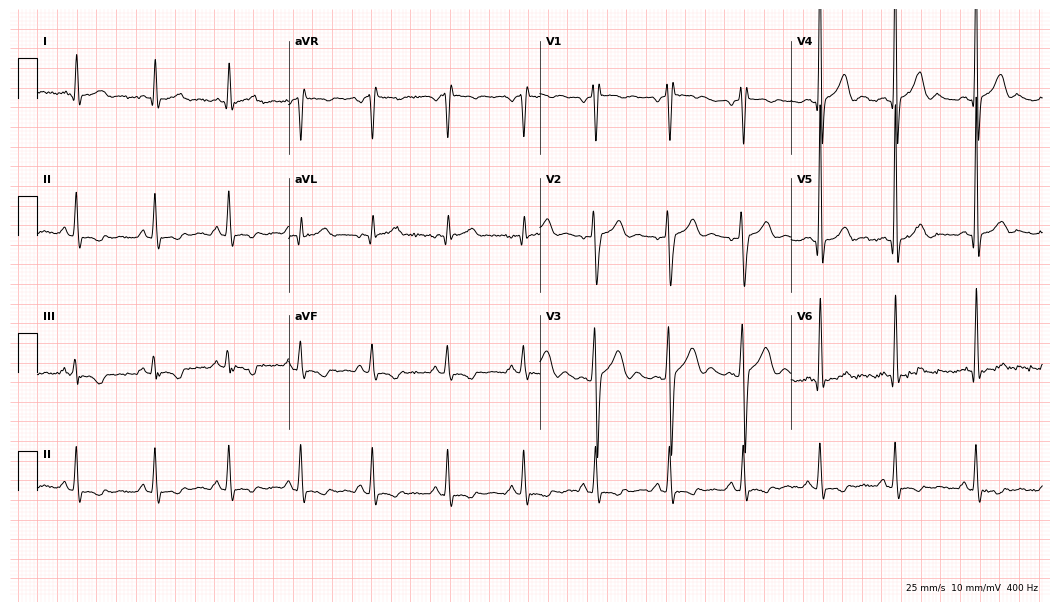
Resting 12-lead electrocardiogram (10.2-second recording at 400 Hz). Patient: a man, 29 years old. None of these six findings is recorded: first-degree AV block, right bundle branch block (RBBB), left bundle branch block (LBBB), sinus bradycardia, atrial fibrillation (AF), sinus tachycardia. Findings outside these six are not listed.